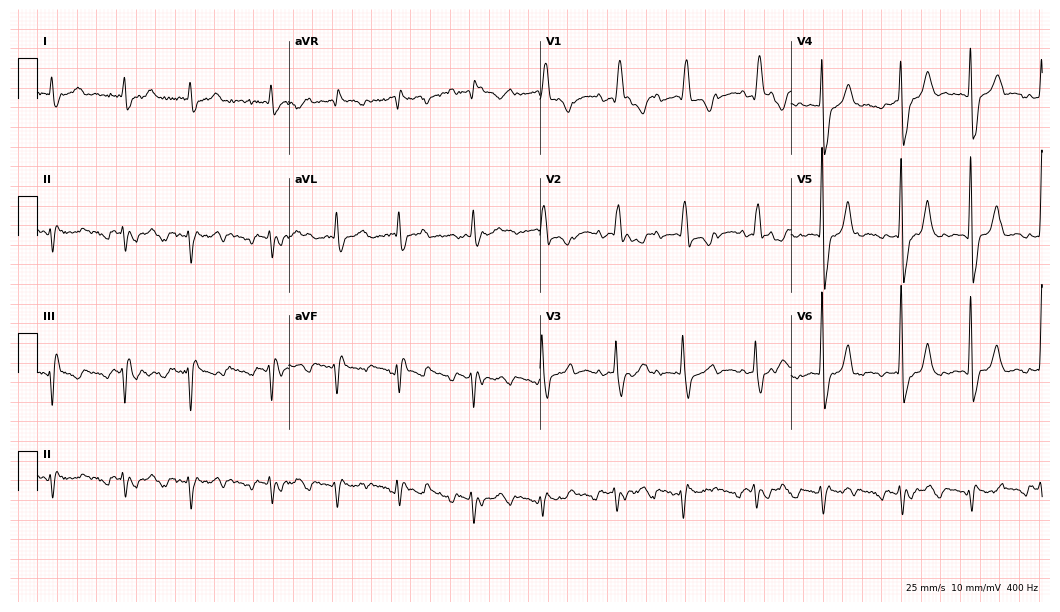
ECG — a male, 74 years old. Screened for six findings — first-degree AV block, right bundle branch block, left bundle branch block, sinus bradycardia, atrial fibrillation, sinus tachycardia — none is recorded. Only these six findings were labelled.